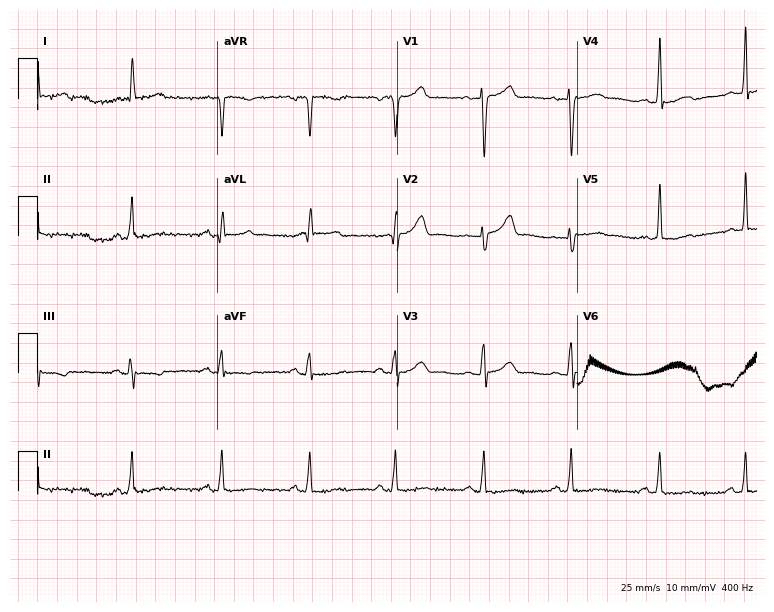
Electrocardiogram, a 55-year-old female. Of the six screened findings (first-degree AV block, right bundle branch block, left bundle branch block, sinus bradycardia, atrial fibrillation, sinus tachycardia), none is recorded. Findings outside these six are not listed.